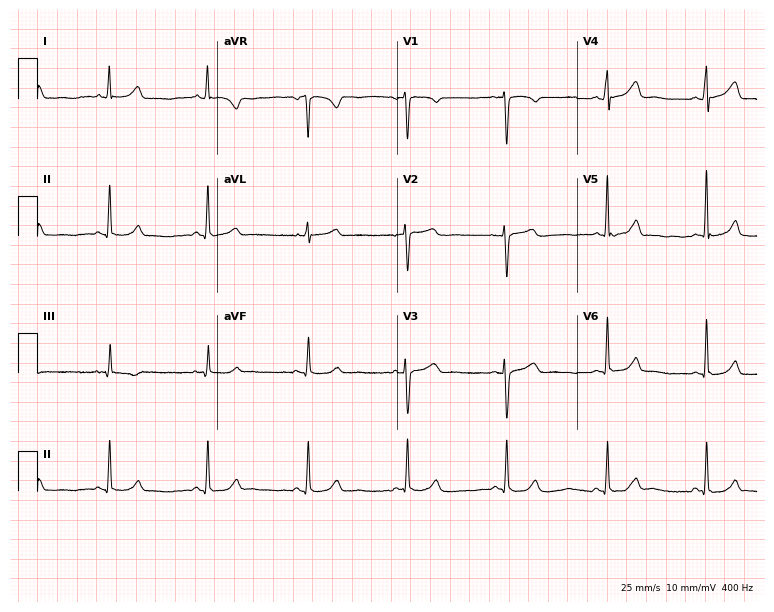
12-lead ECG from a 42-year-old female. Recorded interpretation: within normal limits.